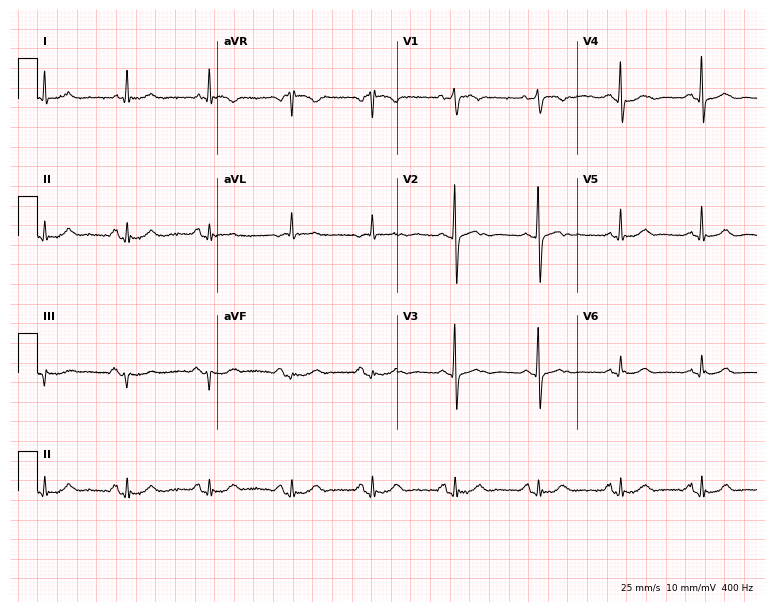
Electrocardiogram, a female patient, 80 years old. Overall reading on record: normal ECG.